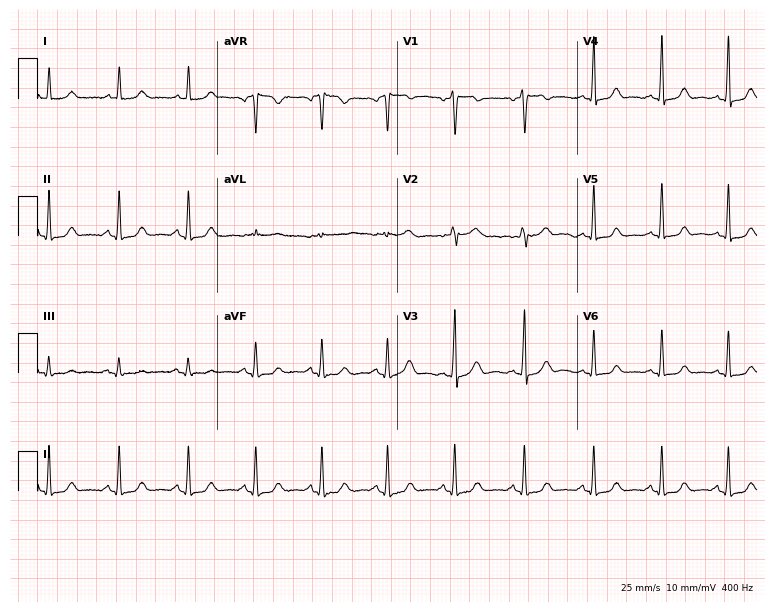
Resting 12-lead electrocardiogram (7.3-second recording at 400 Hz). Patient: a female, 42 years old. Read as a normal ECG.